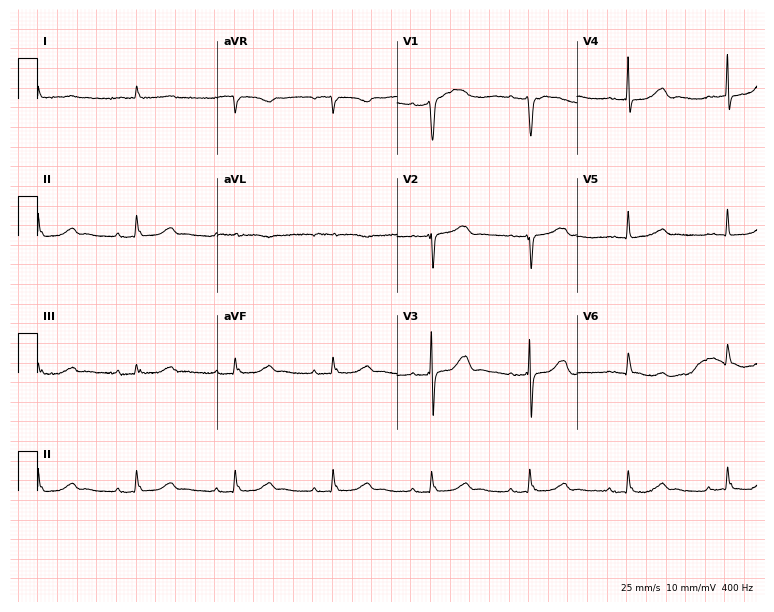
Standard 12-lead ECG recorded from a man, 85 years old. None of these six findings is recorded: first-degree AV block, right bundle branch block (RBBB), left bundle branch block (LBBB), sinus bradycardia, atrial fibrillation (AF), sinus tachycardia.